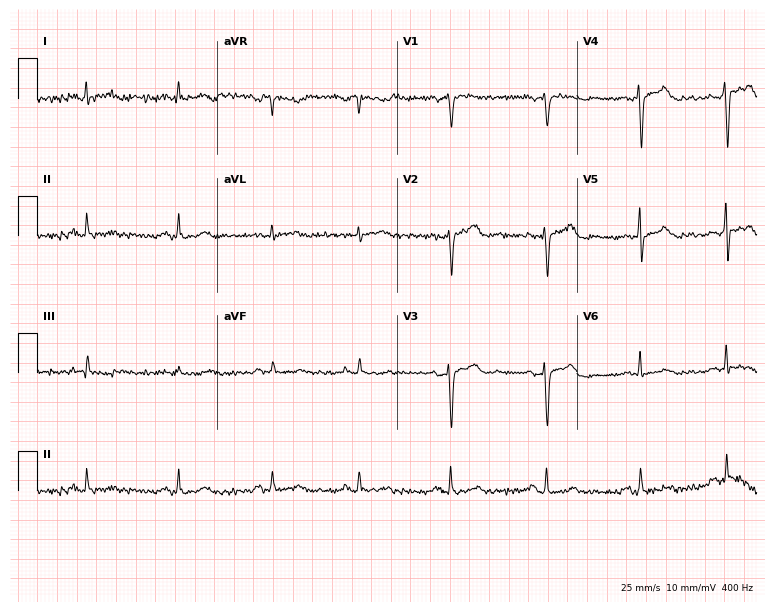
Electrocardiogram, a female patient, 52 years old. Of the six screened findings (first-degree AV block, right bundle branch block, left bundle branch block, sinus bradycardia, atrial fibrillation, sinus tachycardia), none is recorded.